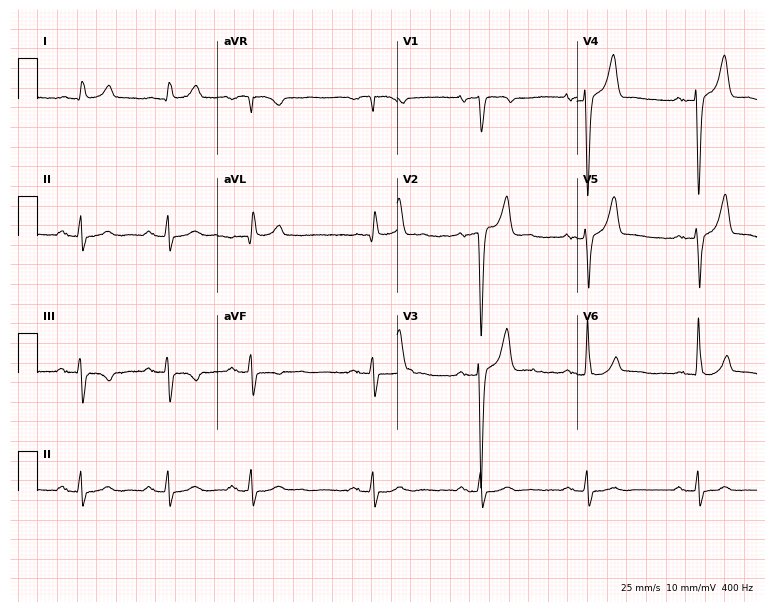
ECG — a male patient, 64 years old. Labelled as a normal ECG.